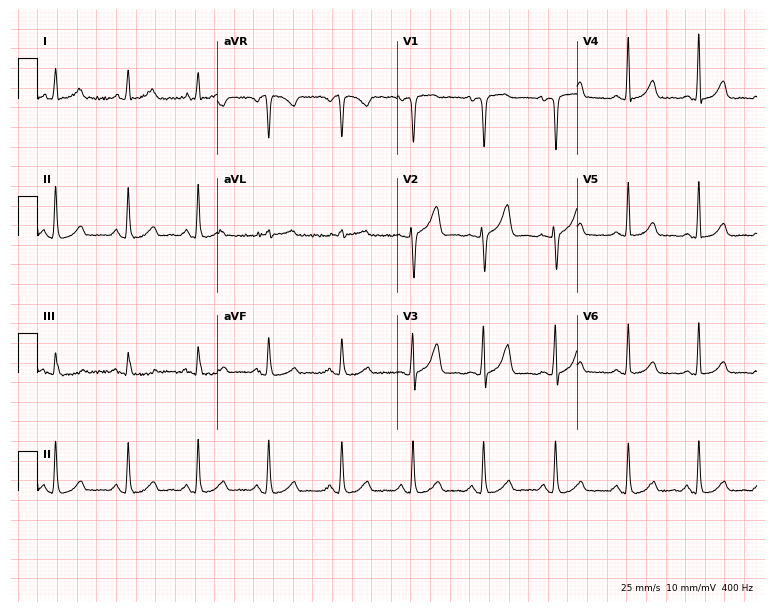
ECG (7.3-second recording at 400 Hz) — a woman, 64 years old. Labelled as a normal ECG.